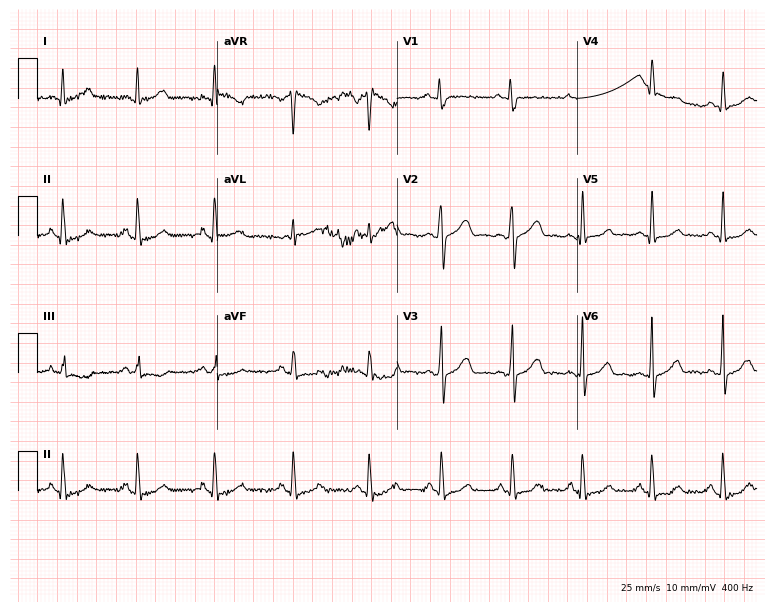
ECG (7.3-second recording at 400 Hz) — a 29-year-old woman. Labelled as a normal ECG.